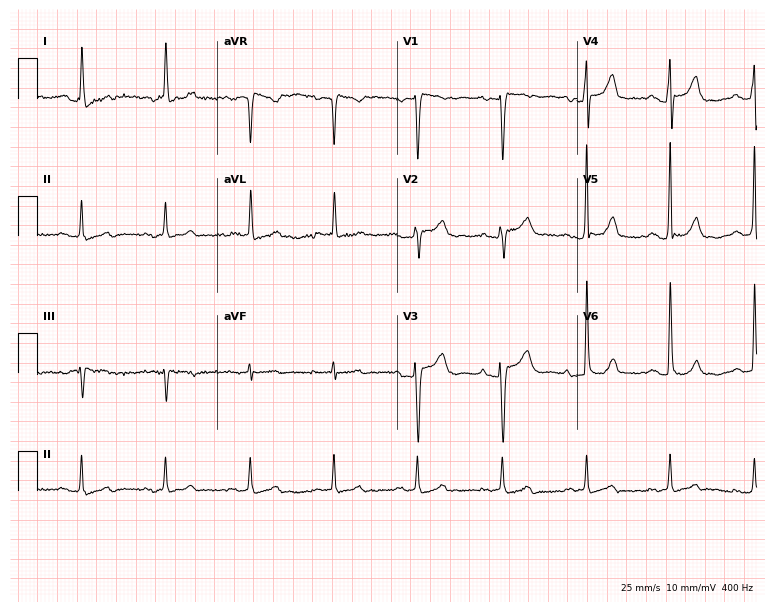
12-lead ECG from a female patient, 81 years old. Recorded interpretation: within normal limits.